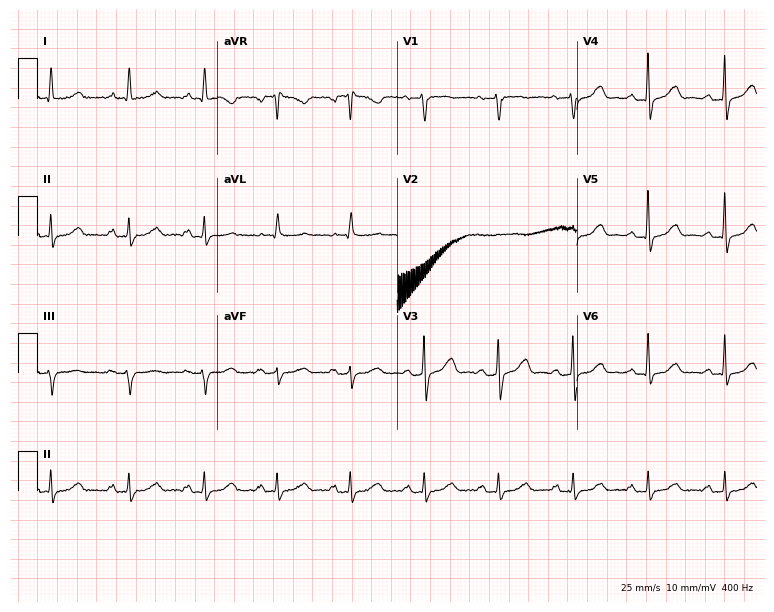
Standard 12-lead ECG recorded from a man, 72 years old (7.3-second recording at 400 Hz). Read as a normal ECG.